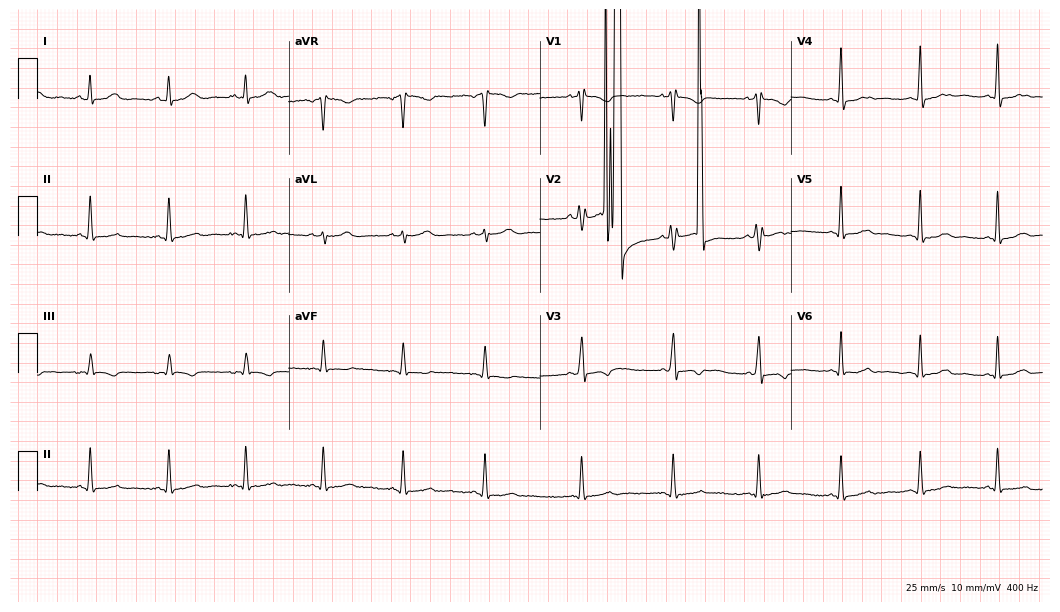
Resting 12-lead electrocardiogram (10.2-second recording at 400 Hz). Patient: a woman, 32 years old. None of these six findings is recorded: first-degree AV block, right bundle branch block, left bundle branch block, sinus bradycardia, atrial fibrillation, sinus tachycardia.